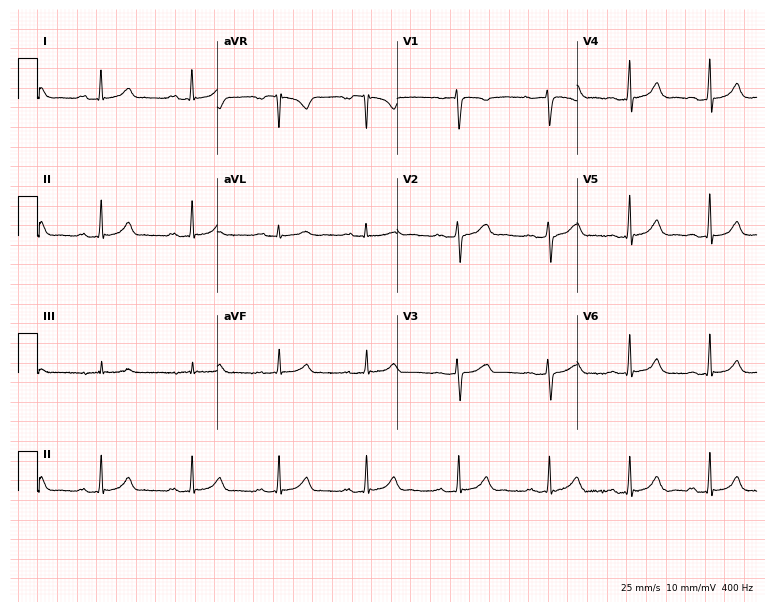
Electrocardiogram, a woman, 31 years old. Interpretation includes first-degree AV block.